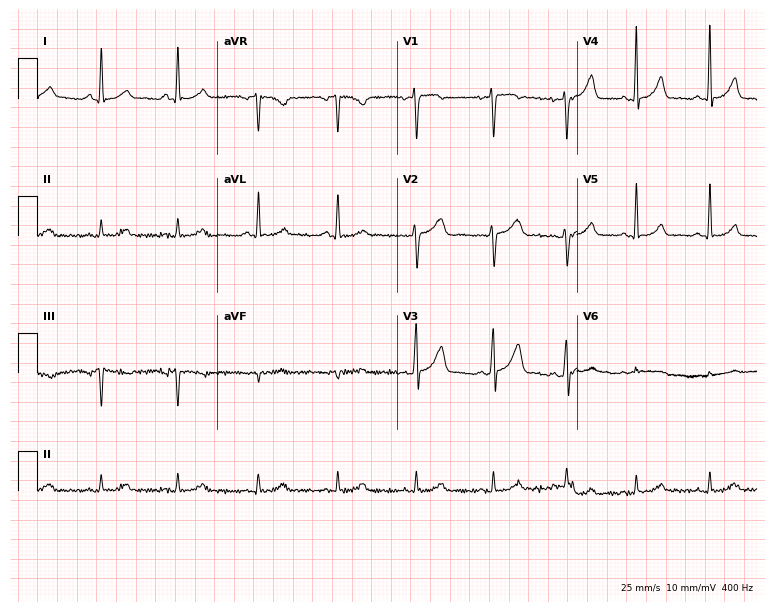
Resting 12-lead electrocardiogram (7.3-second recording at 400 Hz). Patient: a female, 35 years old. Read as a normal ECG.